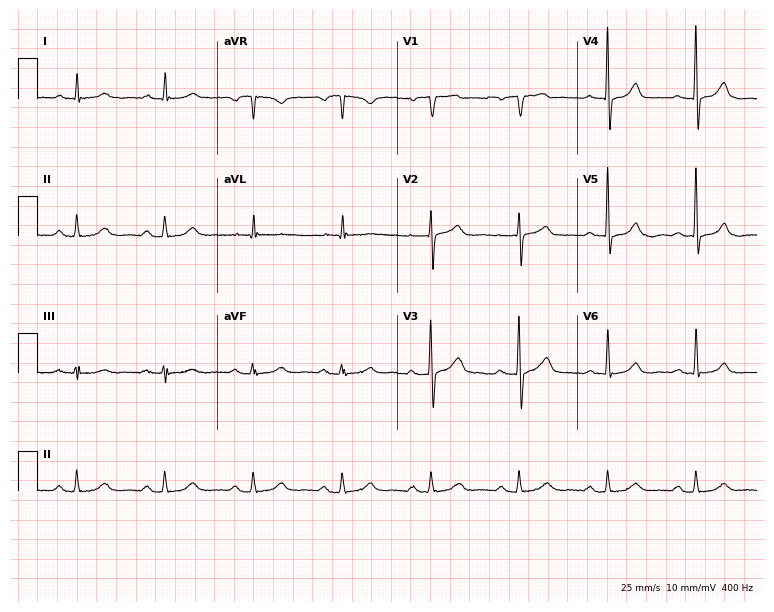
Resting 12-lead electrocardiogram. Patient: a male, 67 years old. None of these six findings is recorded: first-degree AV block, right bundle branch block, left bundle branch block, sinus bradycardia, atrial fibrillation, sinus tachycardia. Findings outside these six are not listed.